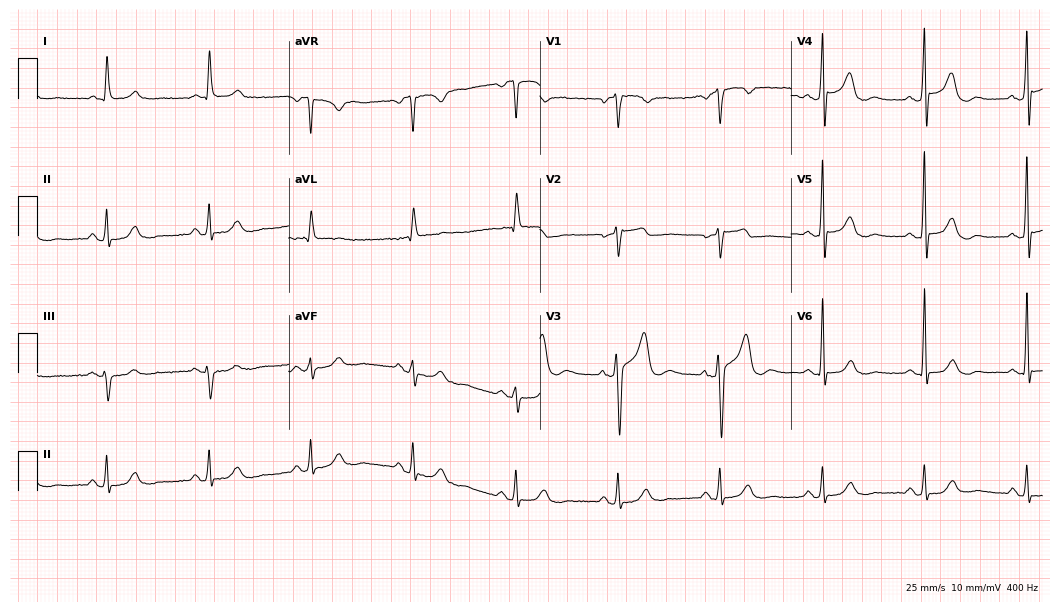
Standard 12-lead ECG recorded from a man, 78 years old (10.2-second recording at 400 Hz). Read as a normal ECG.